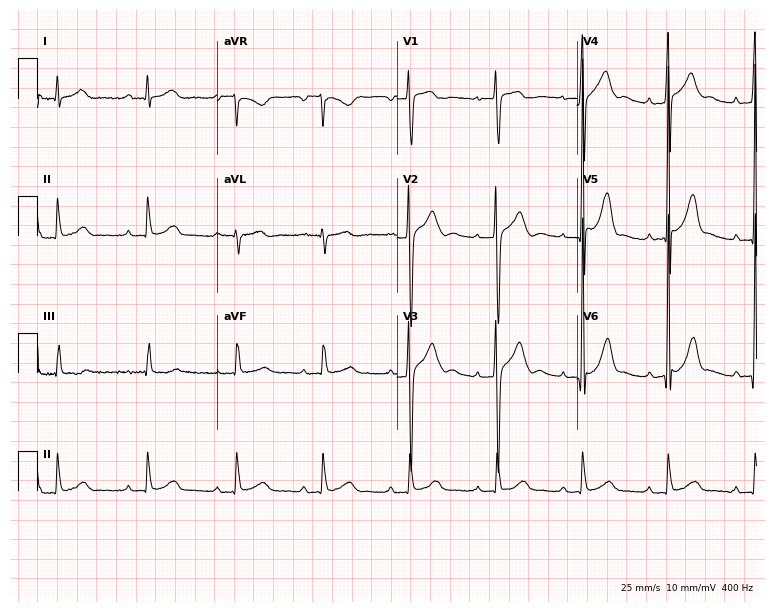
12-lead ECG from a 26-year-old man. Screened for six findings — first-degree AV block, right bundle branch block, left bundle branch block, sinus bradycardia, atrial fibrillation, sinus tachycardia — none is recorded. Other findings, if any, are not listed.